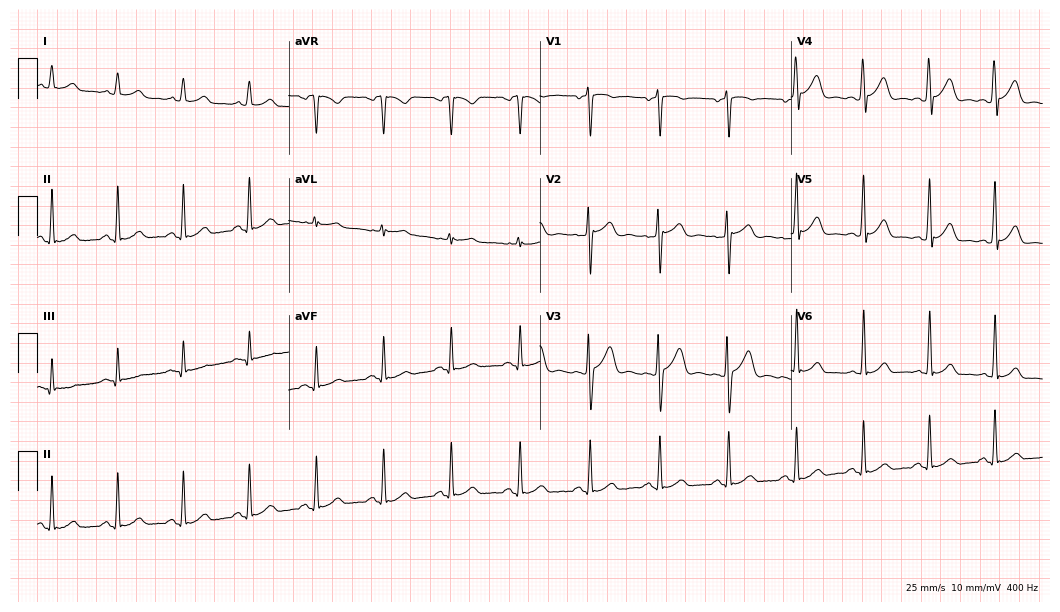
ECG (10.2-second recording at 400 Hz) — a male patient, 37 years old. Labelled as a normal ECG.